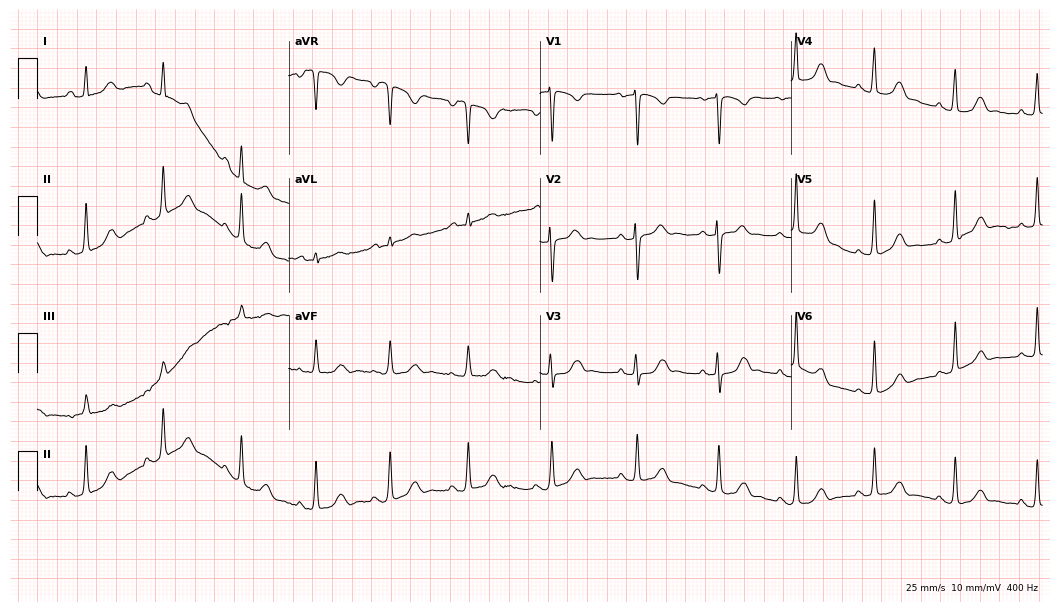
Electrocardiogram (10.2-second recording at 400 Hz), a 78-year-old woman. Overall reading on record: normal ECG.